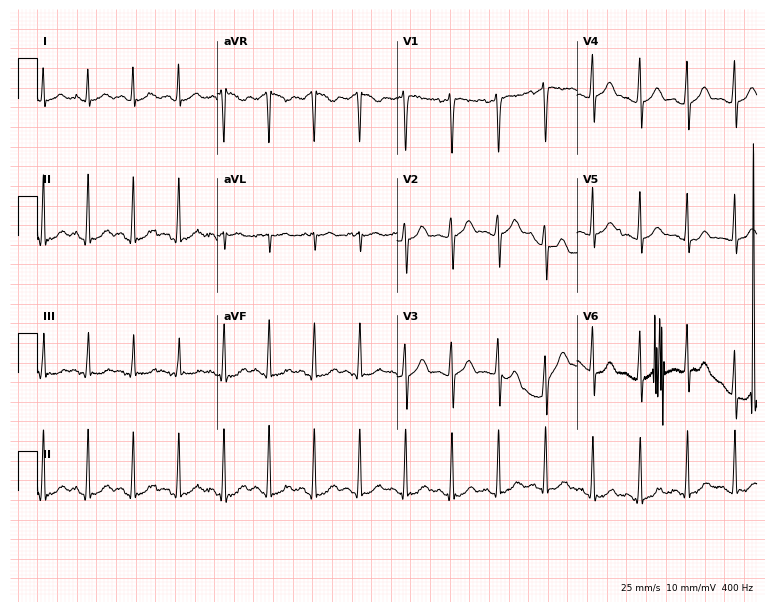
Resting 12-lead electrocardiogram (7.3-second recording at 400 Hz). Patient: a female, 36 years old. The tracing shows sinus tachycardia (a sinus rate of 100 beats per minute or more).